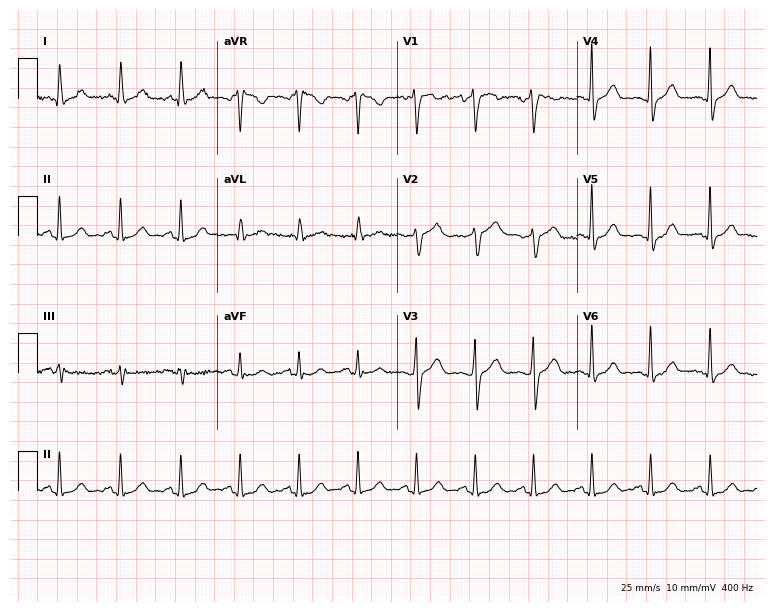
12-lead ECG from a male, 53 years old. Labelled as a normal ECG.